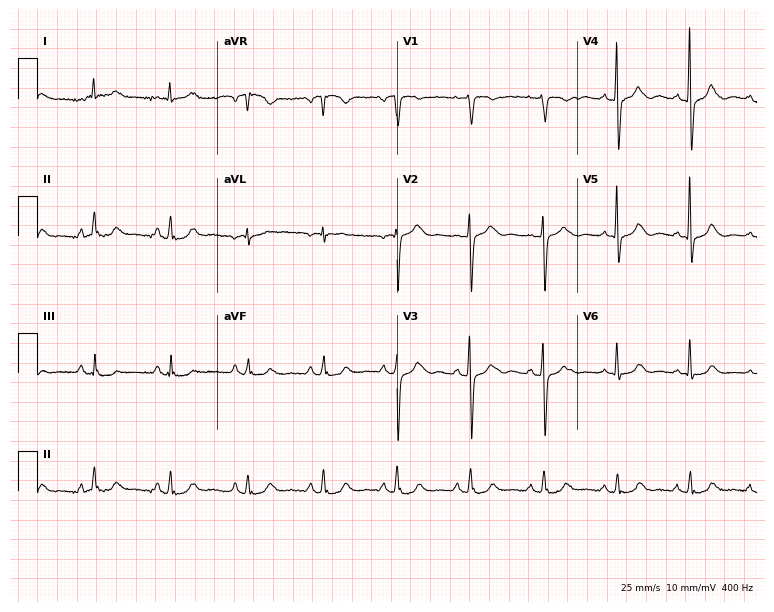
12-lead ECG from a female patient, 77 years old. Screened for six findings — first-degree AV block, right bundle branch block, left bundle branch block, sinus bradycardia, atrial fibrillation, sinus tachycardia — none is recorded. Only these six findings were labelled.